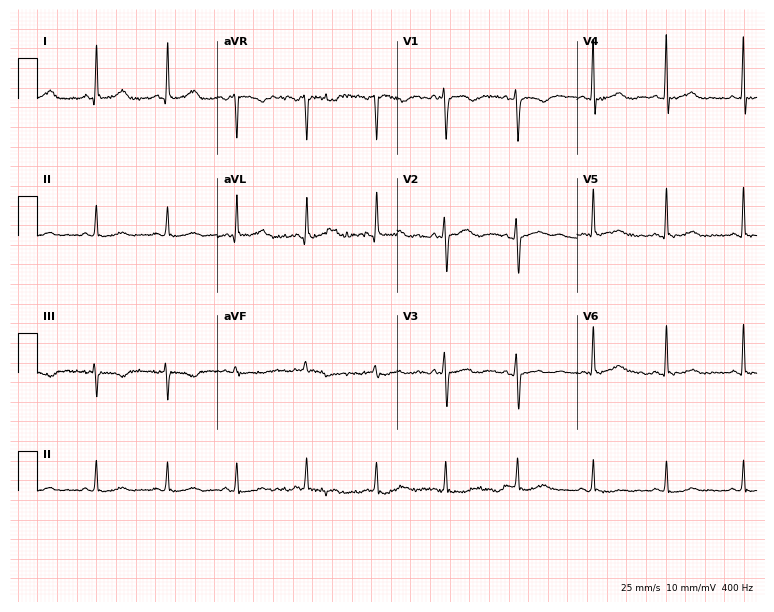
Resting 12-lead electrocardiogram (7.3-second recording at 400 Hz). Patient: a female, 38 years old. None of these six findings is recorded: first-degree AV block, right bundle branch block (RBBB), left bundle branch block (LBBB), sinus bradycardia, atrial fibrillation (AF), sinus tachycardia.